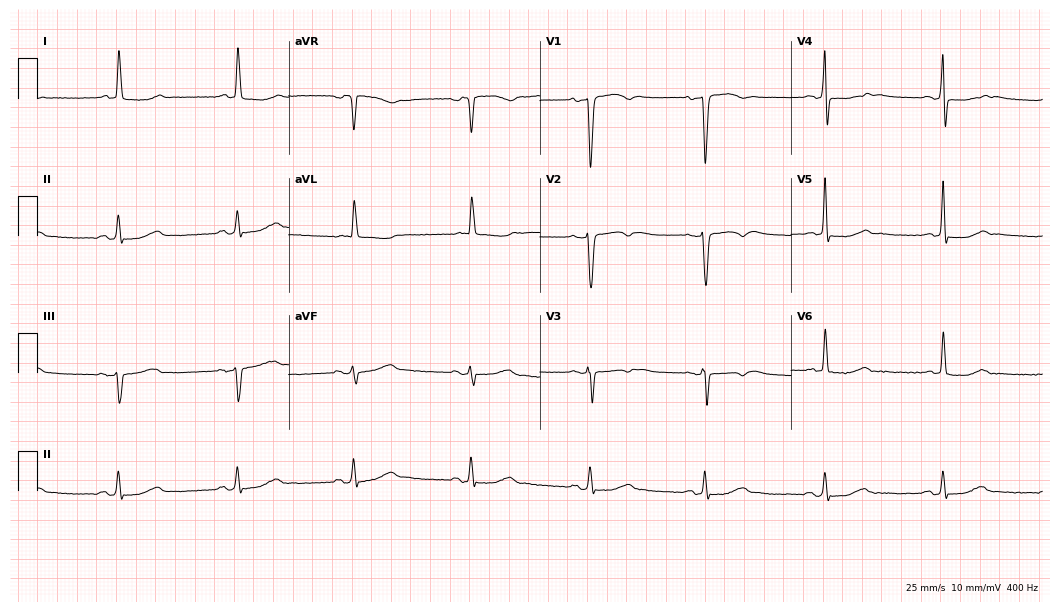
Standard 12-lead ECG recorded from an 82-year-old woman. None of these six findings is recorded: first-degree AV block, right bundle branch block (RBBB), left bundle branch block (LBBB), sinus bradycardia, atrial fibrillation (AF), sinus tachycardia.